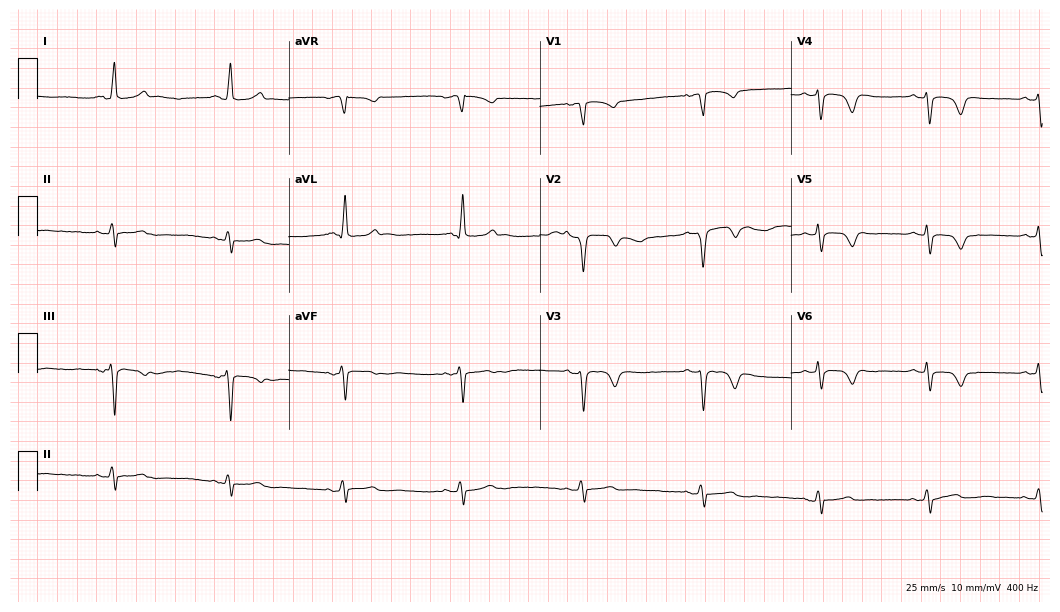
12-lead ECG (10.2-second recording at 400 Hz) from a 63-year-old man. Screened for six findings — first-degree AV block, right bundle branch block (RBBB), left bundle branch block (LBBB), sinus bradycardia, atrial fibrillation (AF), sinus tachycardia — none is recorded. Findings outside these six are not listed.